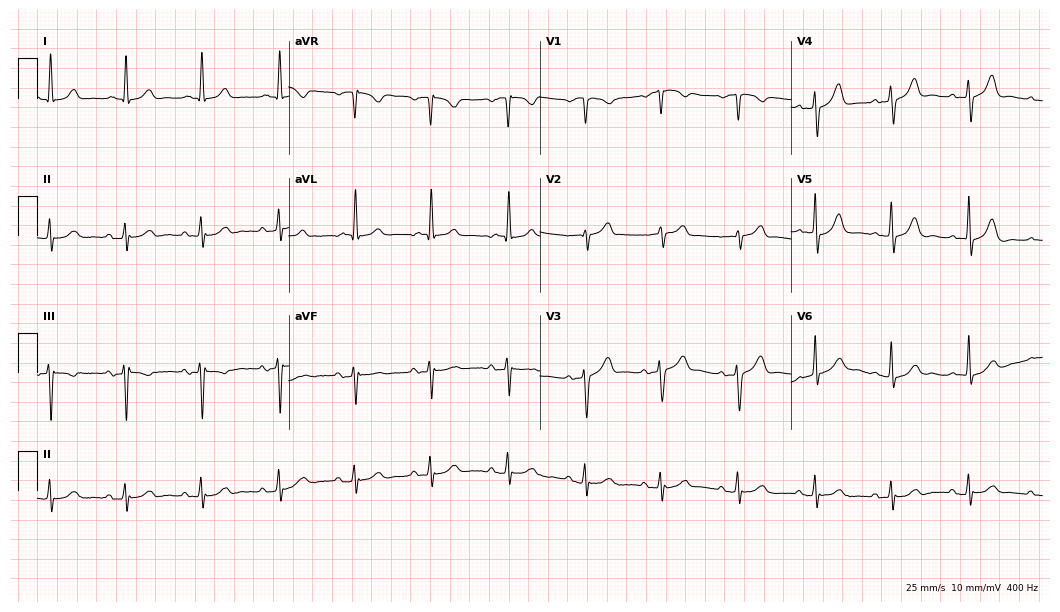
ECG (10.2-second recording at 400 Hz) — a female patient, 78 years old. Labelled as a normal ECG.